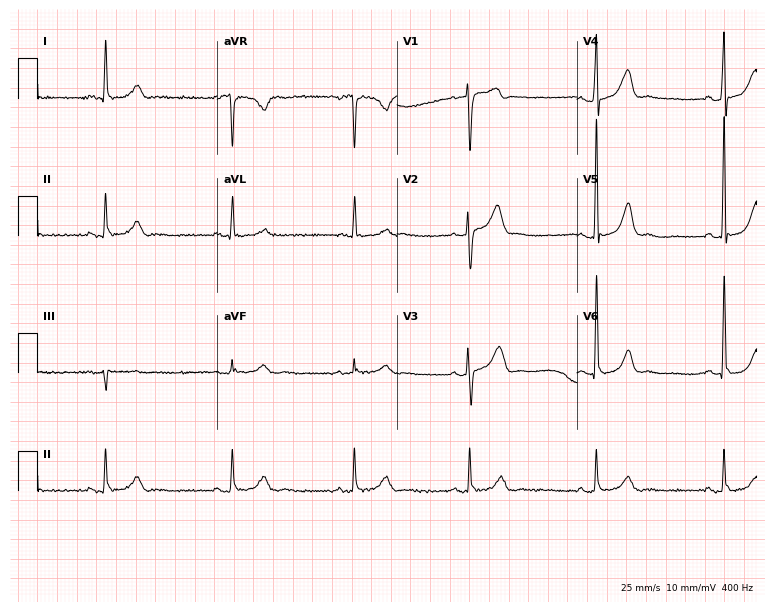
12-lead ECG (7.3-second recording at 400 Hz) from a man, 53 years old. Screened for six findings — first-degree AV block, right bundle branch block, left bundle branch block, sinus bradycardia, atrial fibrillation, sinus tachycardia — none is recorded.